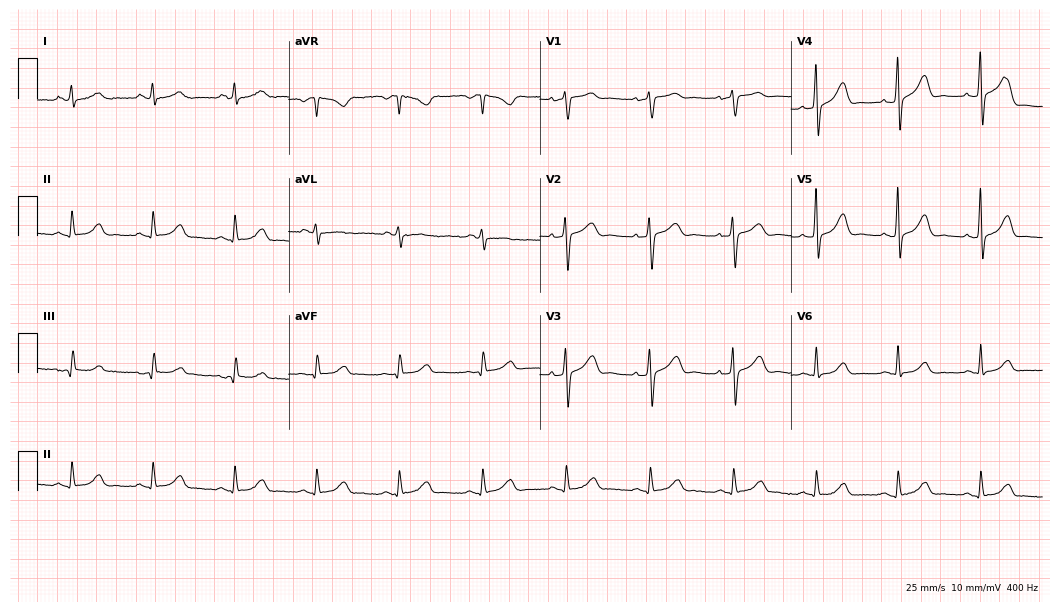
12-lead ECG from a 45-year-old male. Labelled as a normal ECG.